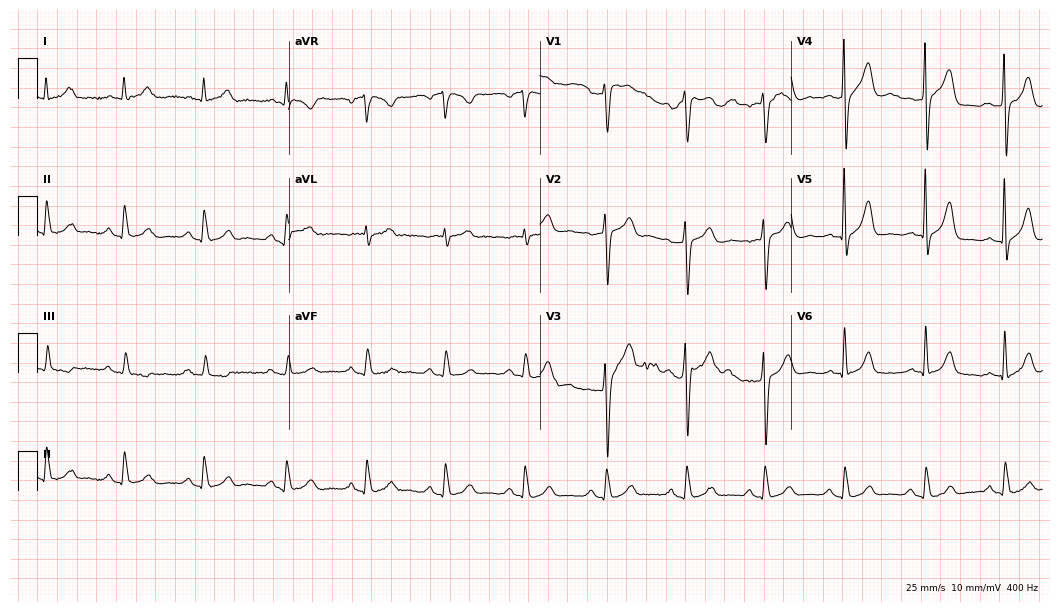
12-lead ECG from a 72-year-old male (10.2-second recording at 400 Hz). Recorded interpretation: within normal limits.